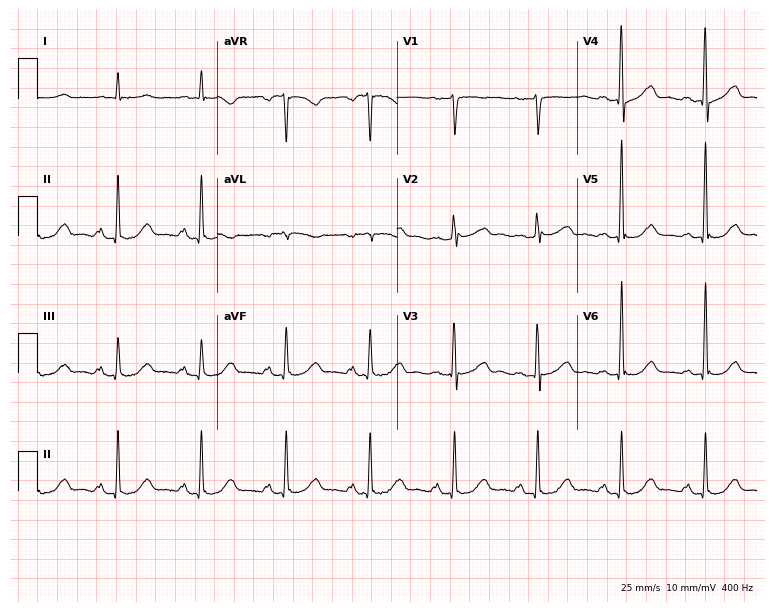
12-lead ECG from a male patient, 81 years old (7.3-second recording at 400 Hz). No first-degree AV block, right bundle branch block, left bundle branch block, sinus bradycardia, atrial fibrillation or sinus tachycardia recorded for this tracing. Other findings, if any, are not listed.